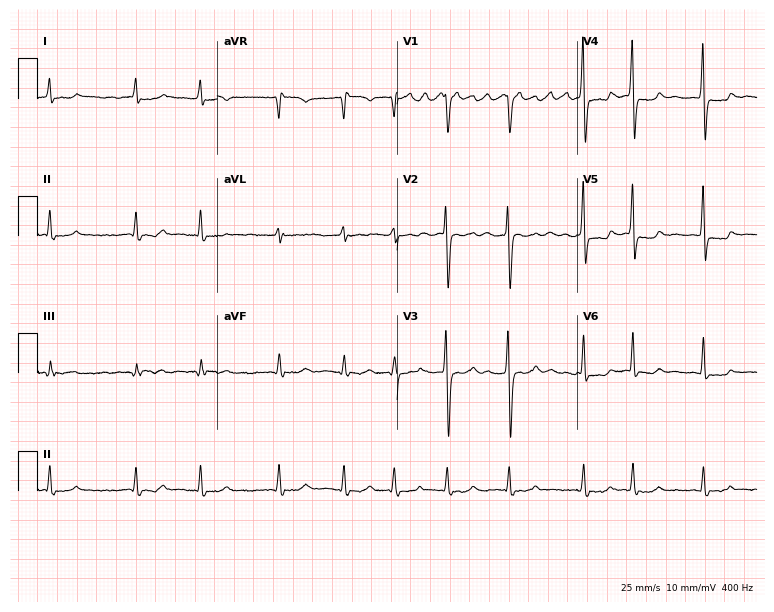
Resting 12-lead electrocardiogram. Patient: a woman, 65 years old. The tracing shows atrial fibrillation.